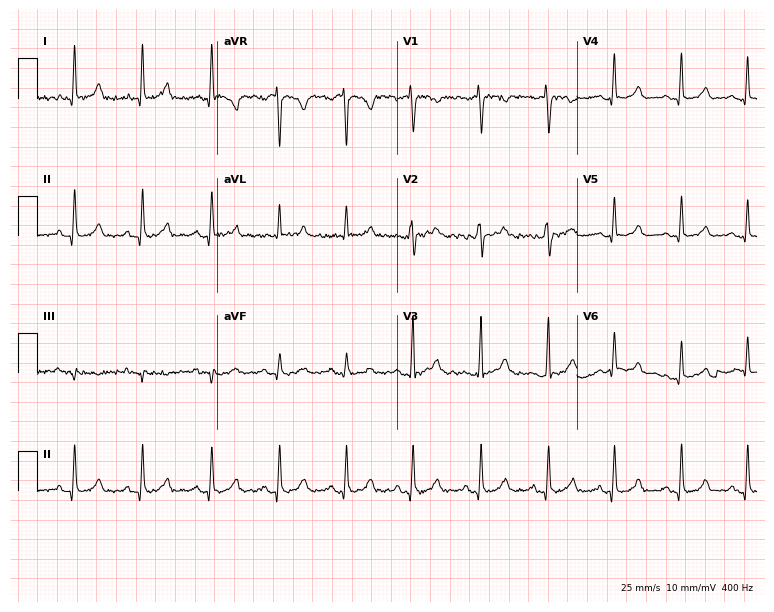
Resting 12-lead electrocardiogram (7.3-second recording at 400 Hz). Patient: a female, 41 years old. Read as a normal ECG.